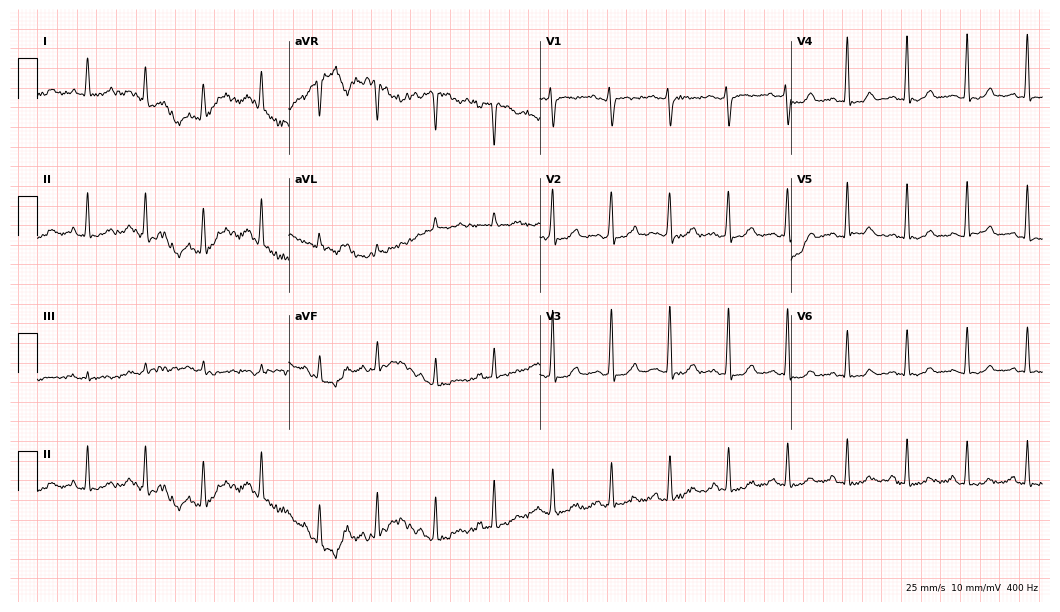
12-lead ECG from a female, 50 years old. Recorded interpretation: within normal limits.